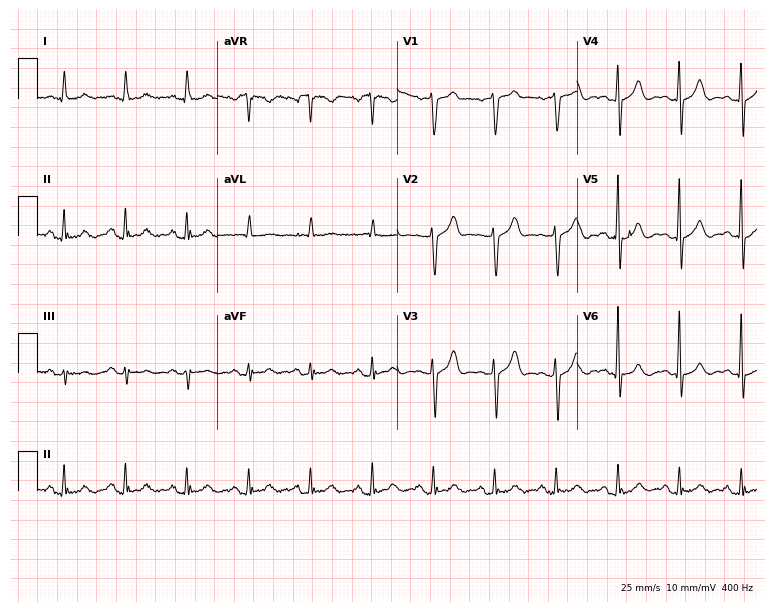
Electrocardiogram (7.3-second recording at 400 Hz), a male patient, 79 years old. Of the six screened findings (first-degree AV block, right bundle branch block (RBBB), left bundle branch block (LBBB), sinus bradycardia, atrial fibrillation (AF), sinus tachycardia), none is recorded.